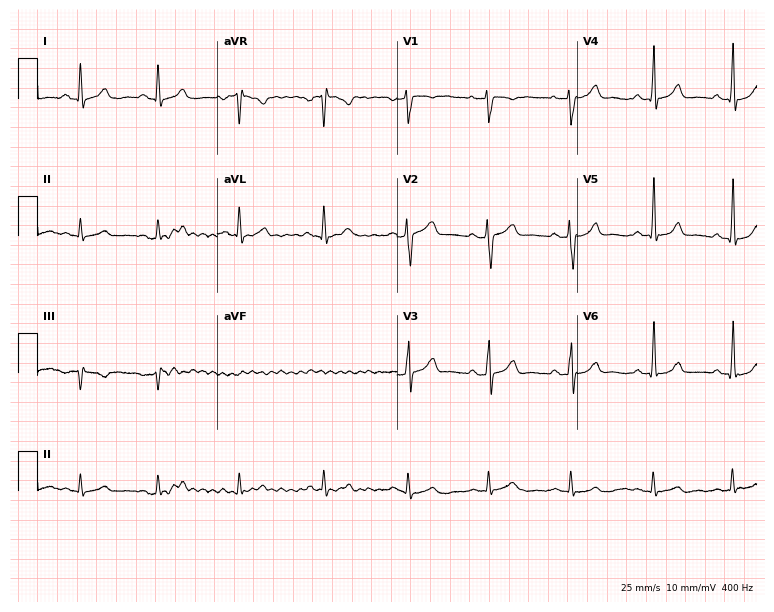
Electrocardiogram (7.3-second recording at 400 Hz), a 37-year-old female. Overall reading on record: normal ECG.